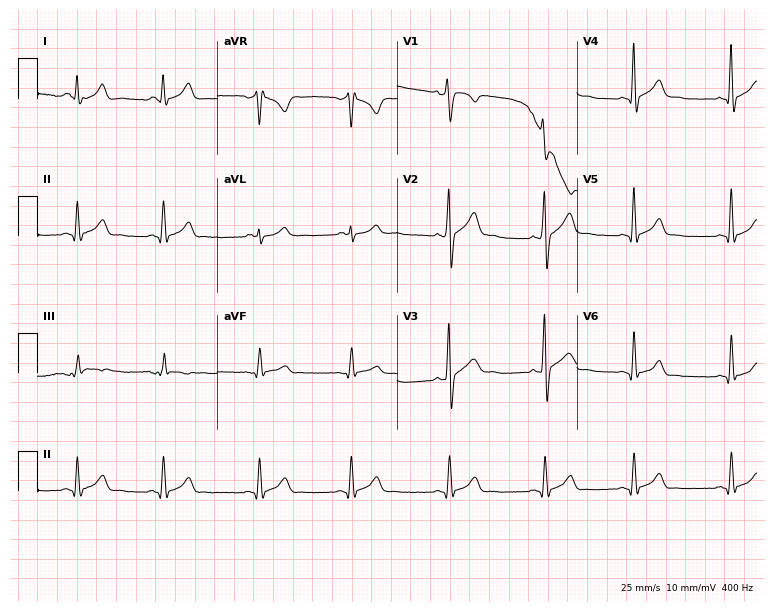
Electrocardiogram (7.3-second recording at 400 Hz), a male, 24 years old. Of the six screened findings (first-degree AV block, right bundle branch block (RBBB), left bundle branch block (LBBB), sinus bradycardia, atrial fibrillation (AF), sinus tachycardia), none is recorded.